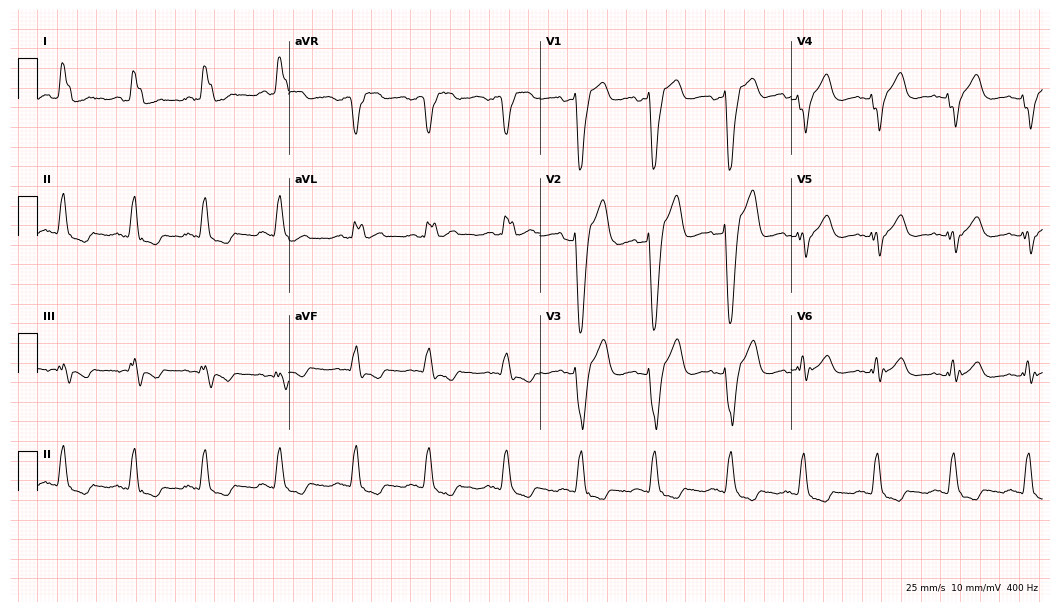
12-lead ECG from a woman, 29 years old. Shows left bundle branch block (LBBB).